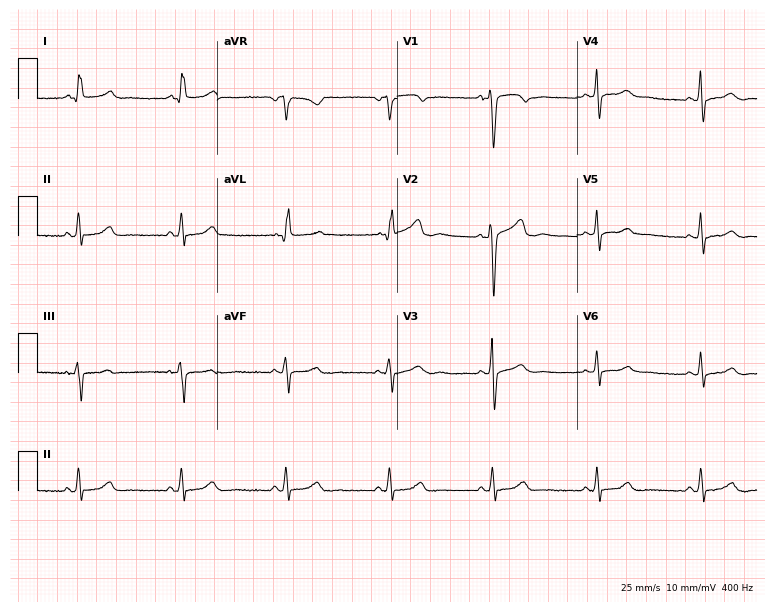
ECG — a 37-year-old female. Labelled as a normal ECG.